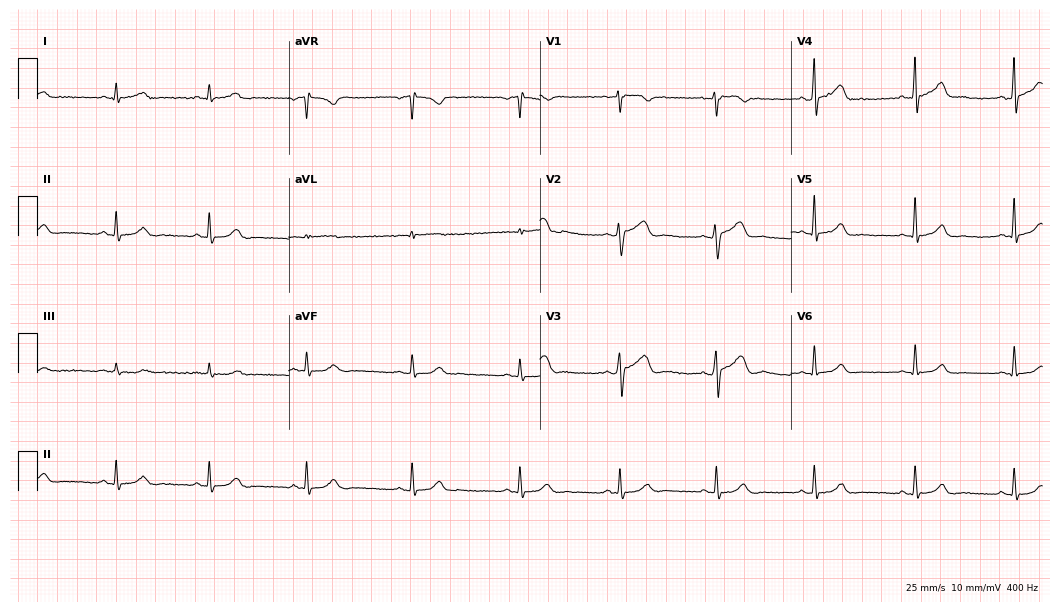
Standard 12-lead ECG recorded from a 37-year-old male (10.2-second recording at 400 Hz). Read as a normal ECG.